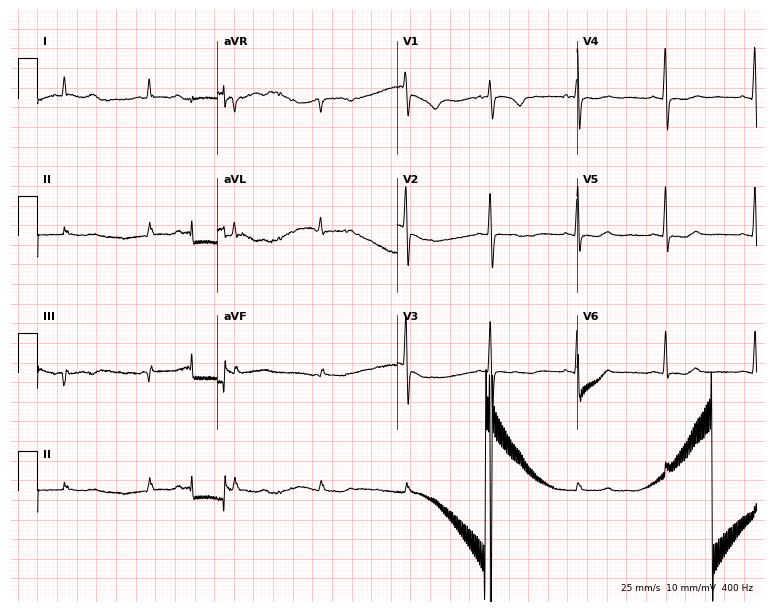
Standard 12-lead ECG recorded from a woman, 80 years old (7.3-second recording at 400 Hz). None of these six findings is recorded: first-degree AV block, right bundle branch block, left bundle branch block, sinus bradycardia, atrial fibrillation, sinus tachycardia.